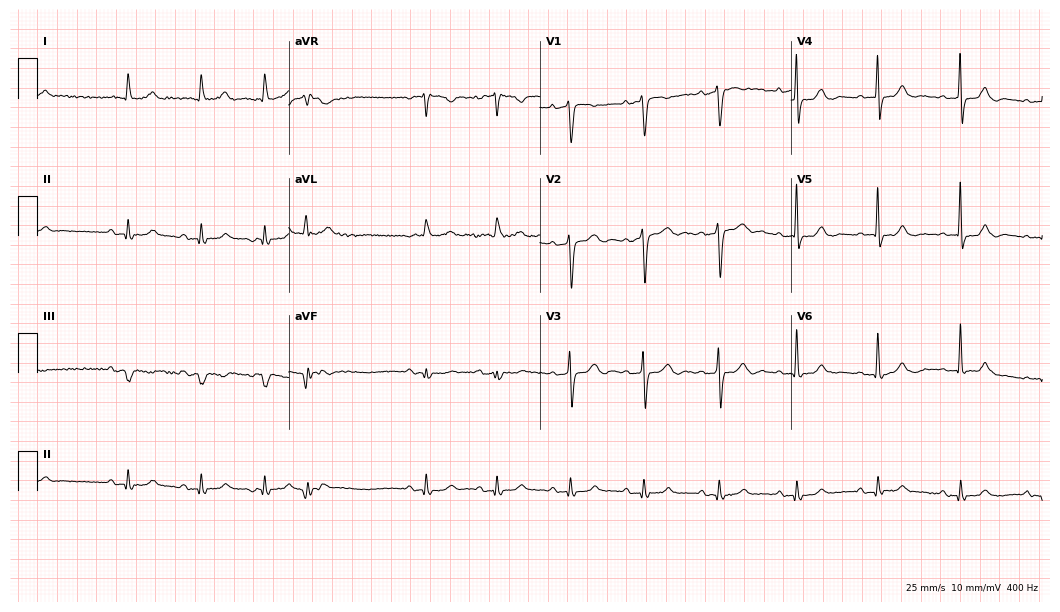
12-lead ECG (10.2-second recording at 400 Hz) from a 78-year-old male patient. Screened for six findings — first-degree AV block, right bundle branch block, left bundle branch block, sinus bradycardia, atrial fibrillation, sinus tachycardia — none is recorded. Findings outside these six are not listed.